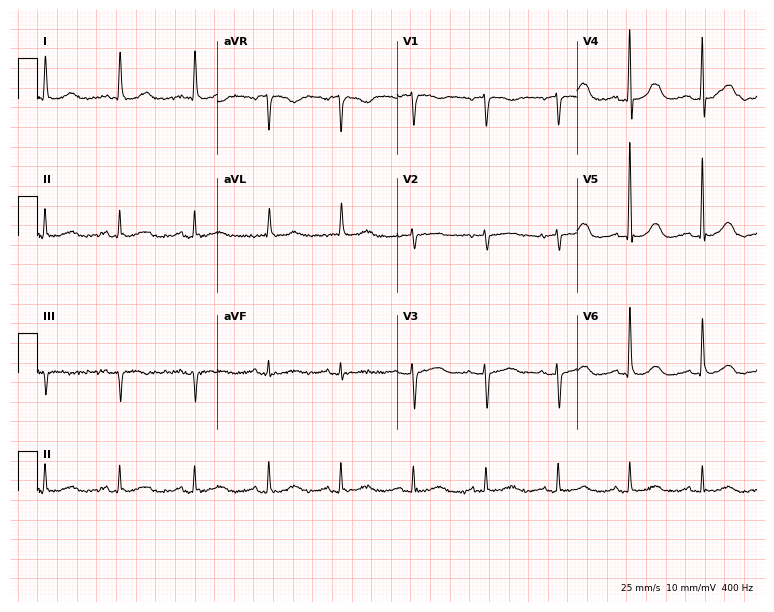
Electrocardiogram (7.3-second recording at 400 Hz), a female patient, 80 years old. Overall reading on record: normal ECG.